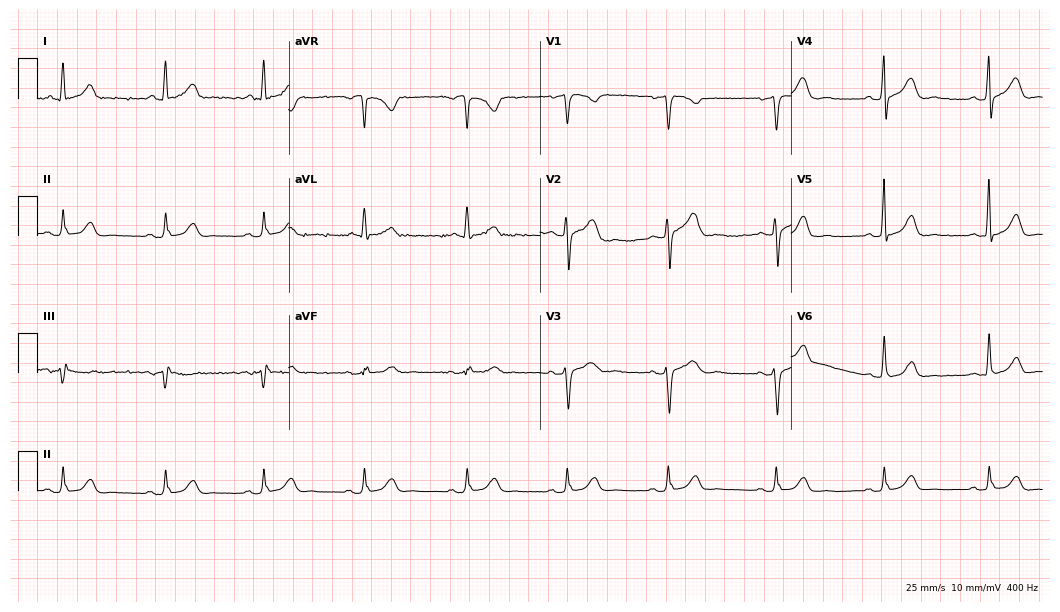
ECG (10.2-second recording at 400 Hz) — a 58-year-old woman. Labelled as a normal ECG.